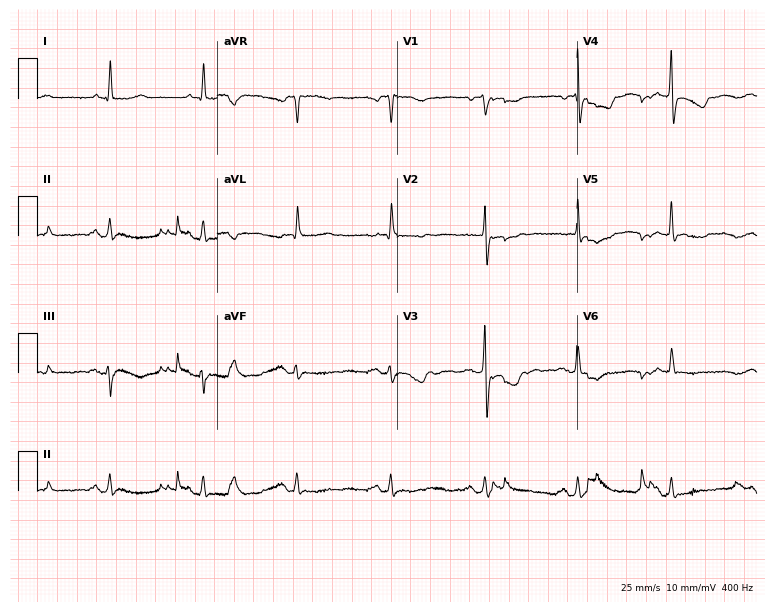
Resting 12-lead electrocardiogram (7.3-second recording at 400 Hz). Patient: a female, 64 years old. None of these six findings is recorded: first-degree AV block, right bundle branch block, left bundle branch block, sinus bradycardia, atrial fibrillation, sinus tachycardia.